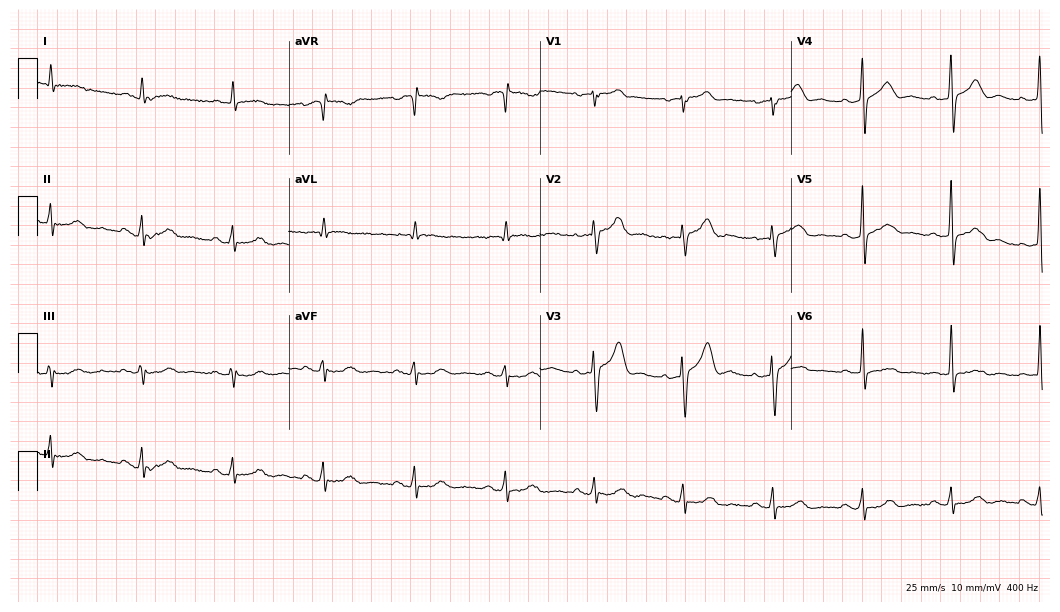
Standard 12-lead ECG recorded from a 52-year-old male (10.2-second recording at 400 Hz). Read as a normal ECG.